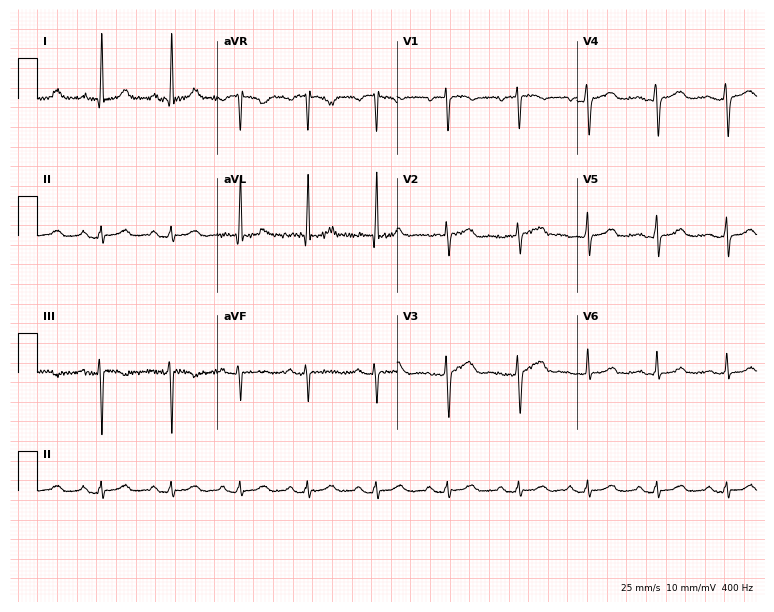
Electrocardiogram, a female, 53 years old. Overall reading on record: normal ECG.